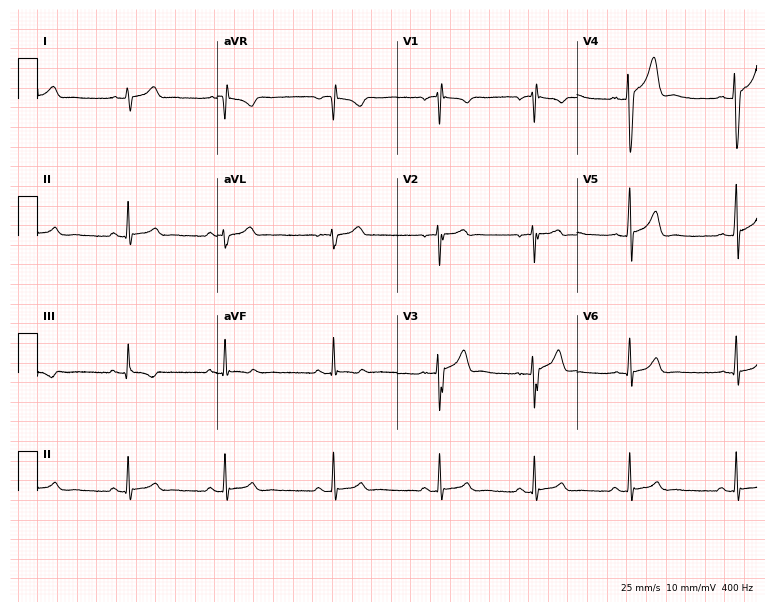
12-lead ECG from a 22-year-old male. Screened for six findings — first-degree AV block, right bundle branch block (RBBB), left bundle branch block (LBBB), sinus bradycardia, atrial fibrillation (AF), sinus tachycardia — none is recorded. Findings outside these six are not listed.